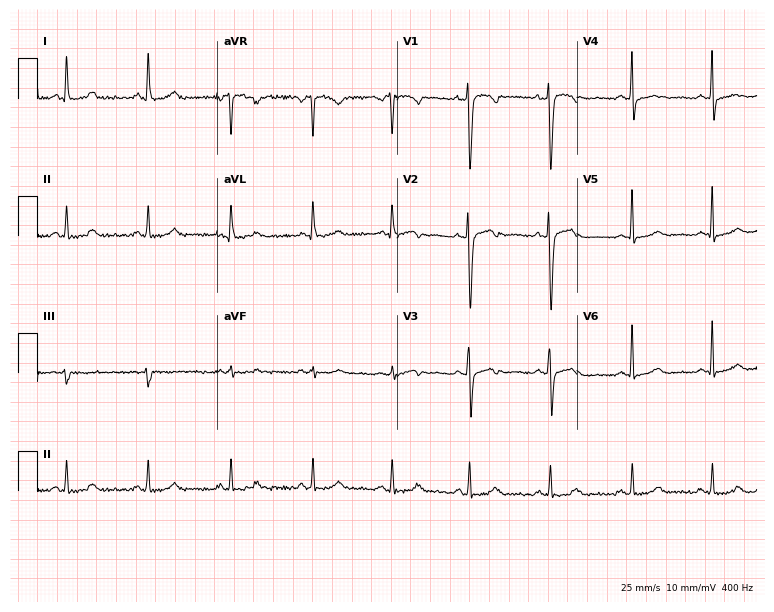
ECG — a 53-year-old woman. Screened for six findings — first-degree AV block, right bundle branch block, left bundle branch block, sinus bradycardia, atrial fibrillation, sinus tachycardia — none is recorded. Other findings, if any, are not listed.